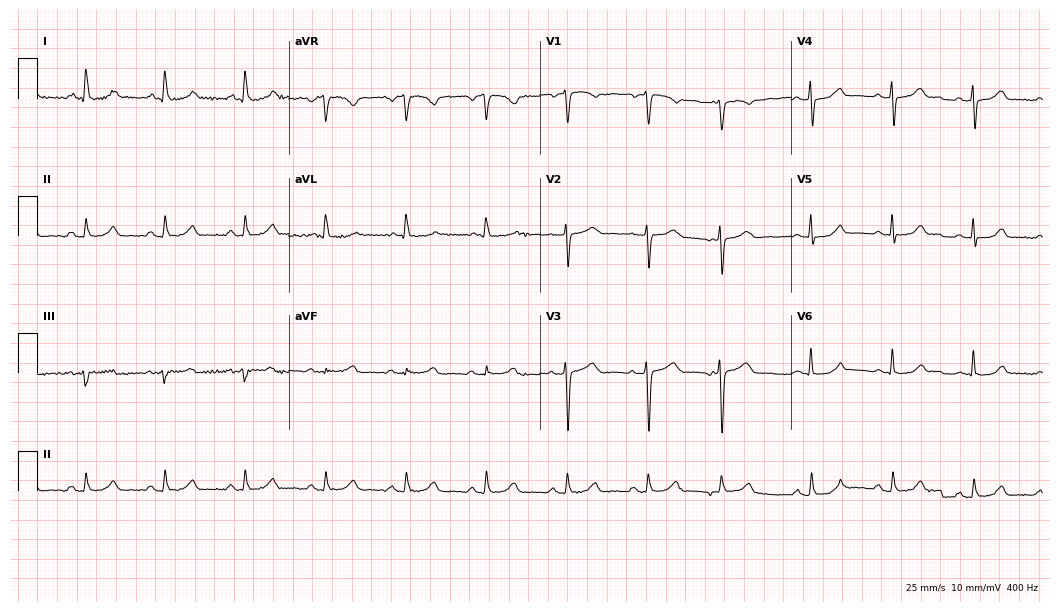
ECG — a female patient, 54 years old. Labelled as a normal ECG.